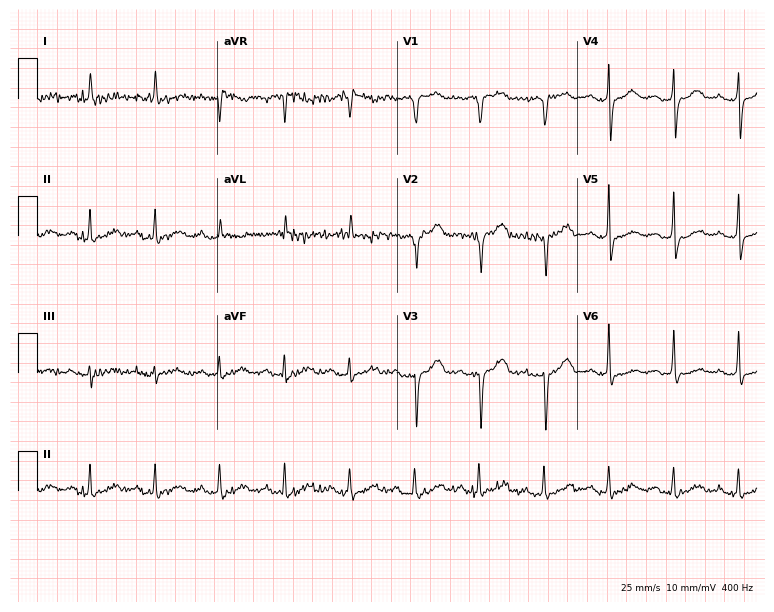
ECG — an 82-year-old man. Screened for six findings — first-degree AV block, right bundle branch block, left bundle branch block, sinus bradycardia, atrial fibrillation, sinus tachycardia — none is recorded.